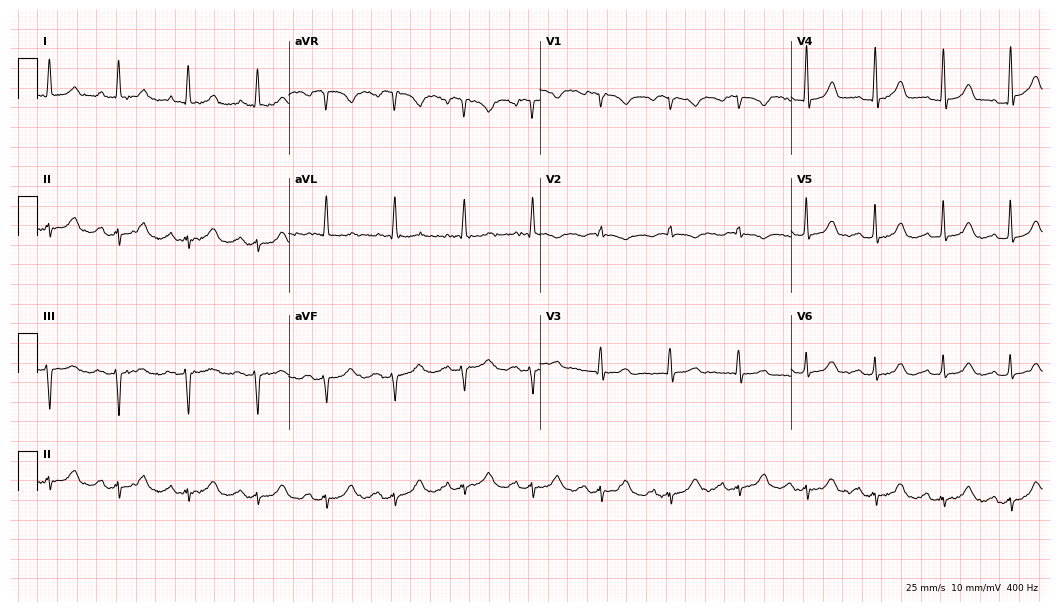
12-lead ECG from a female patient, 71 years old (10.2-second recording at 400 Hz). Shows first-degree AV block.